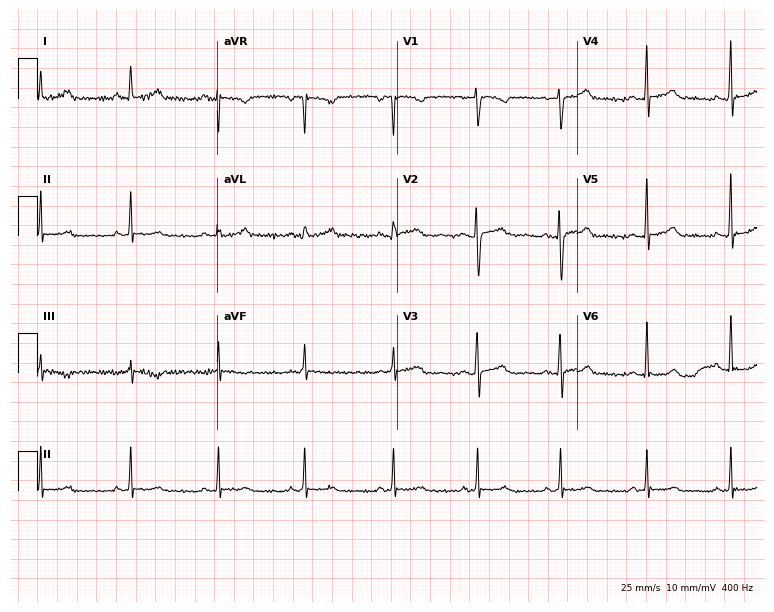
12-lead ECG from a 32-year-old female. Screened for six findings — first-degree AV block, right bundle branch block, left bundle branch block, sinus bradycardia, atrial fibrillation, sinus tachycardia — none is recorded.